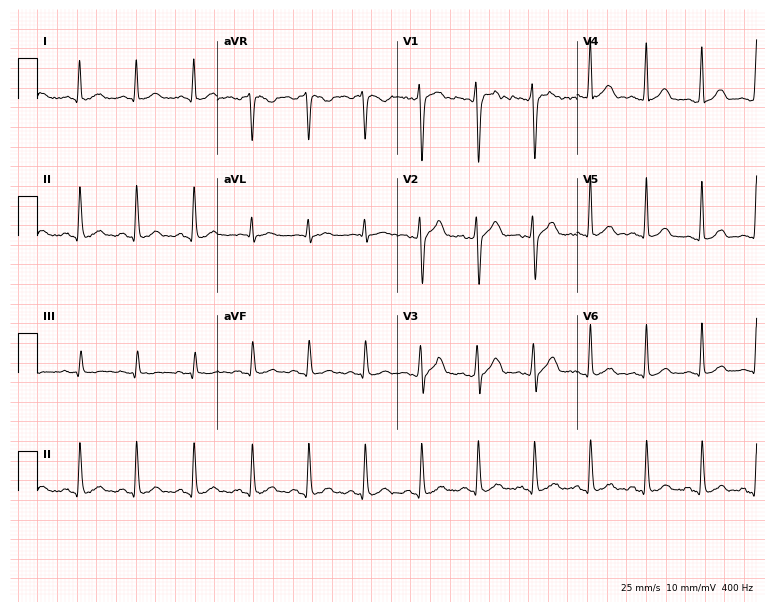
Standard 12-lead ECG recorded from a male patient, 24 years old. None of these six findings is recorded: first-degree AV block, right bundle branch block, left bundle branch block, sinus bradycardia, atrial fibrillation, sinus tachycardia.